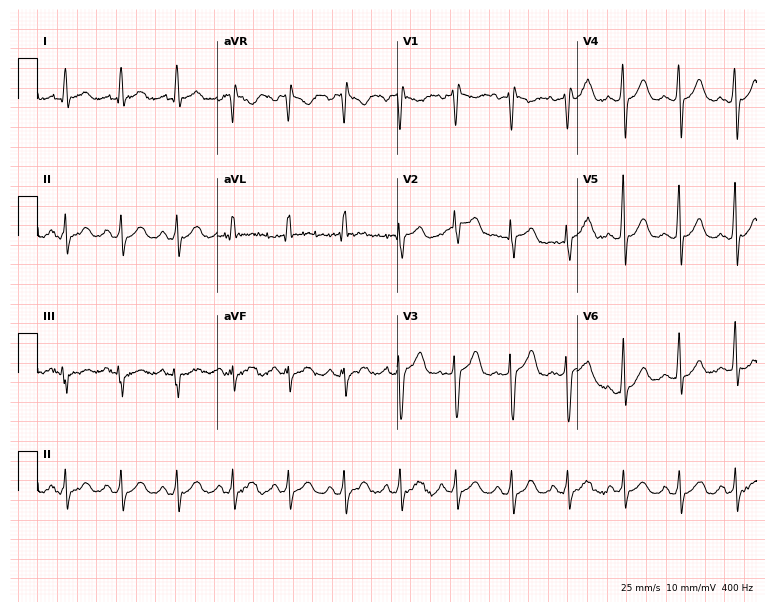
Resting 12-lead electrocardiogram (7.3-second recording at 400 Hz). Patient: a male, 31 years old. The tracing shows sinus tachycardia (a sinus rate of 100 beats per minute or more).